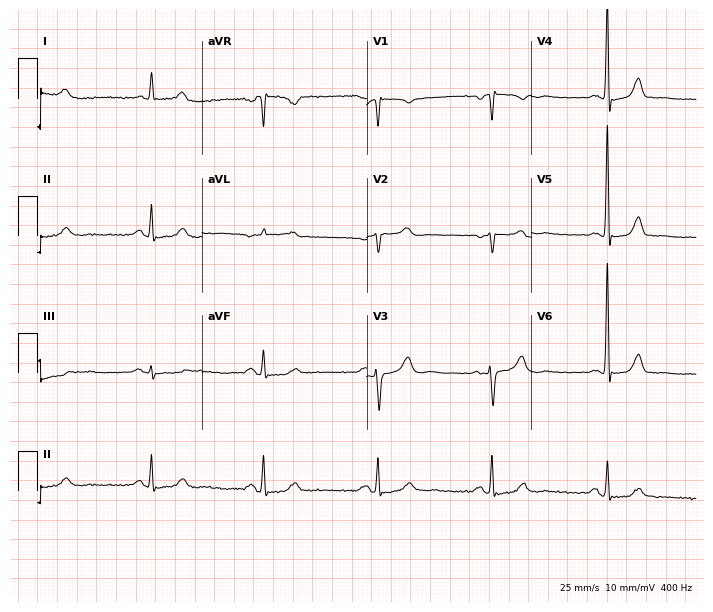
12-lead ECG (6.7-second recording at 400 Hz) from a woman, 75 years old. Screened for six findings — first-degree AV block, right bundle branch block (RBBB), left bundle branch block (LBBB), sinus bradycardia, atrial fibrillation (AF), sinus tachycardia — none is recorded. Other findings, if any, are not listed.